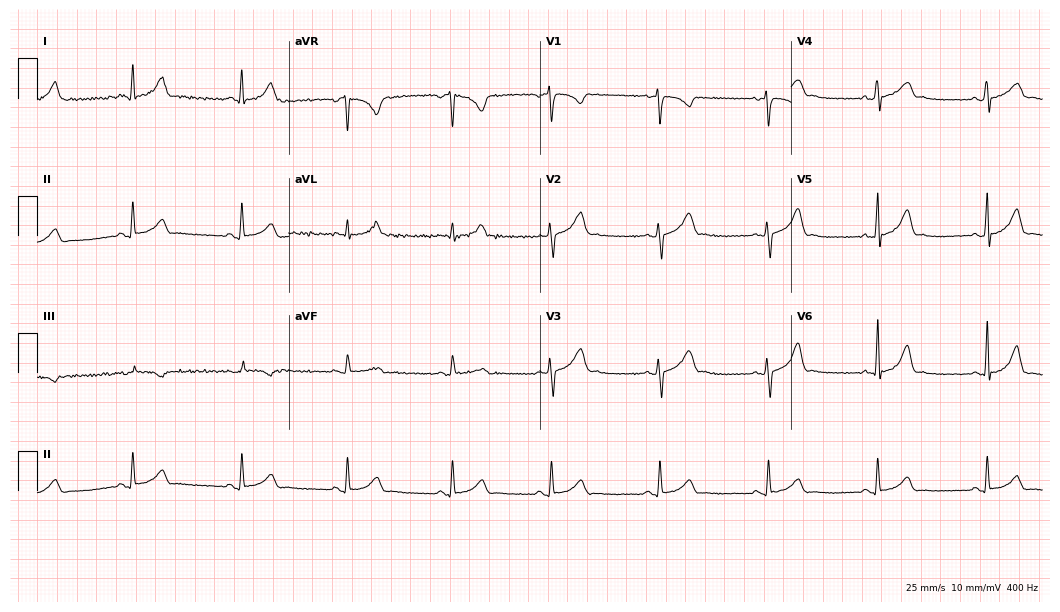
12-lead ECG from a female patient, 28 years old. No first-degree AV block, right bundle branch block, left bundle branch block, sinus bradycardia, atrial fibrillation or sinus tachycardia recorded for this tracing.